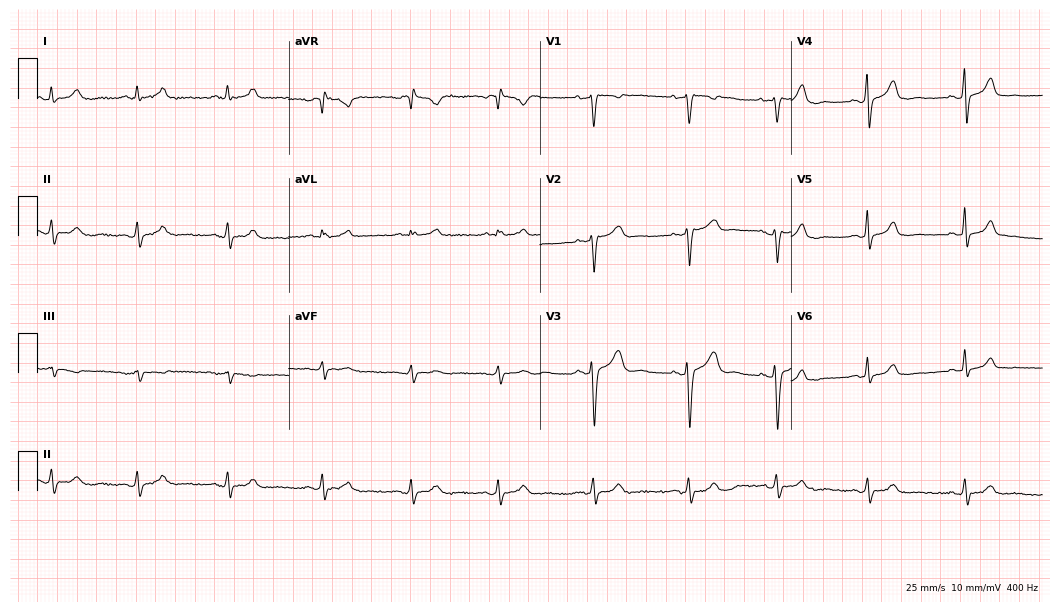
ECG — a 37-year-old woman. Screened for six findings — first-degree AV block, right bundle branch block (RBBB), left bundle branch block (LBBB), sinus bradycardia, atrial fibrillation (AF), sinus tachycardia — none is recorded.